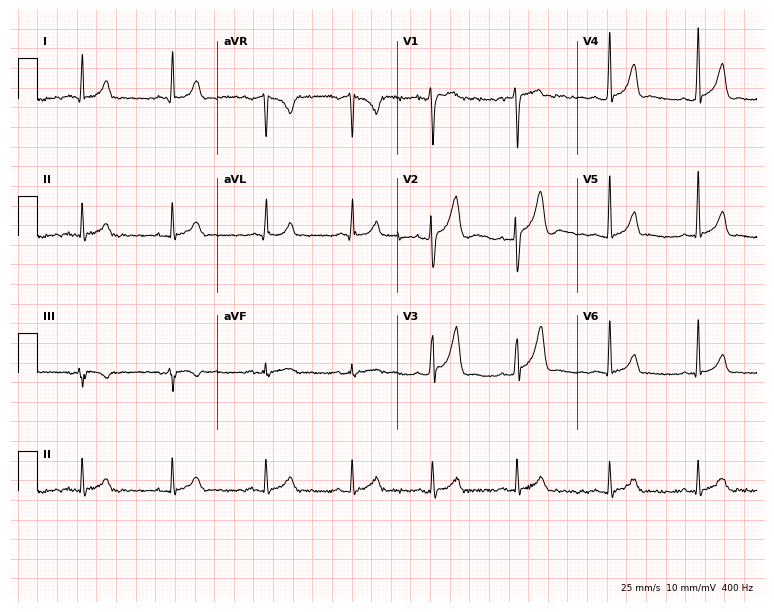
Resting 12-lead electrocardiogram (7.3-second recording at 400 Hz). Patient: a 24-year-old male. None of these six findings is recorded: first-degree AV block, right bundle branch block (RBBB), left bundle branch block (LBBB), sinus bradycardia, atrial fibrillation (AF), sinus tachycardia. Other findings, if any, are not listed.